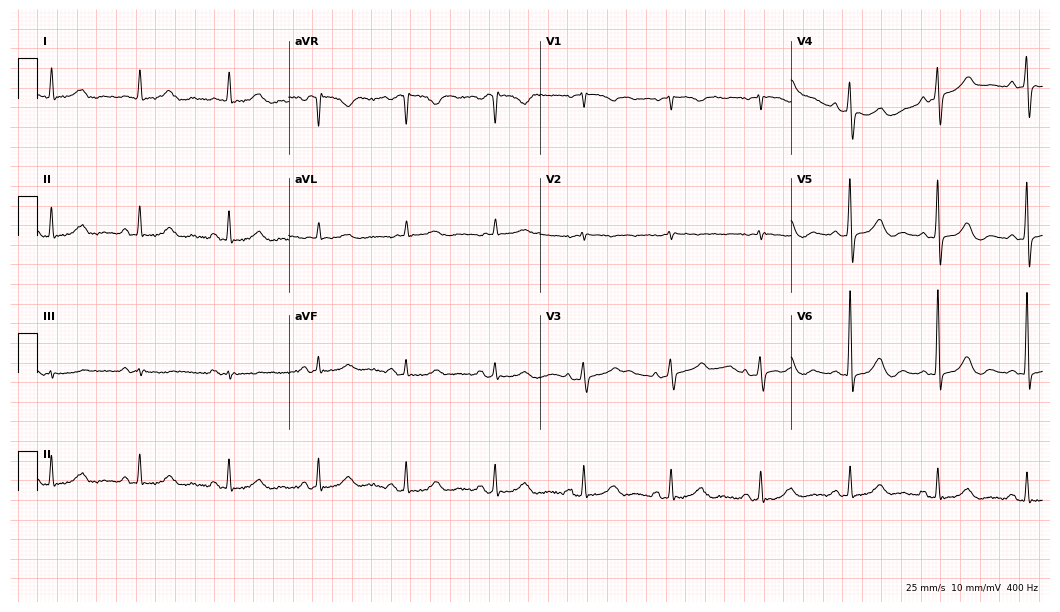
ECG (10.2-second recording at 400 Hz) — a woman, 82 years old. Screened for six findings — first-degree AV block, right bundle branch block (RBBB), left bundle branch block (LBBB), sinus bradycardia, atrial fibrillation (AF), sinus tachycardia — none is recorded. Findings outside these six are not listed.